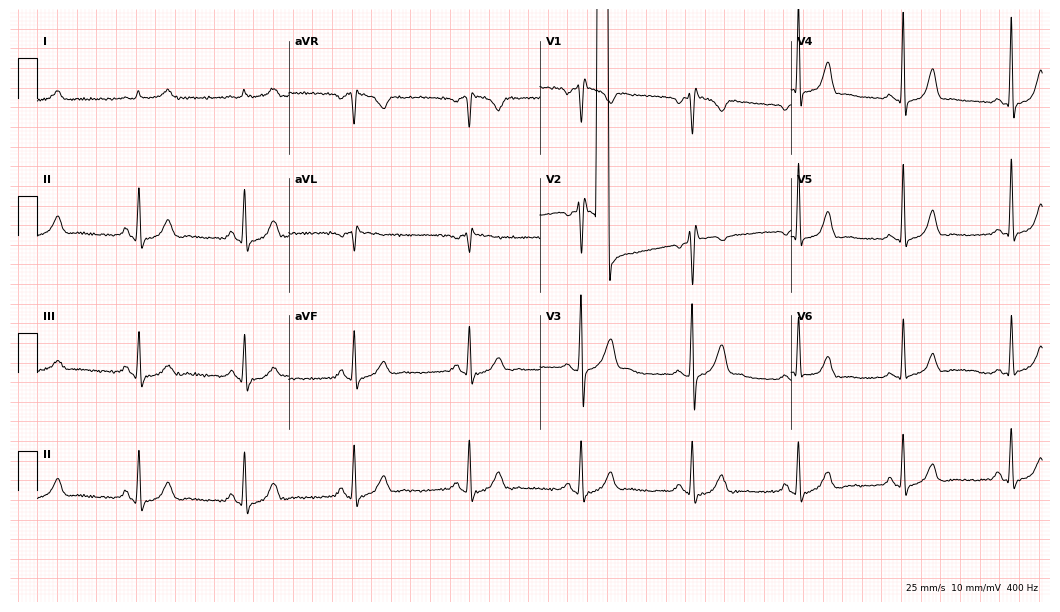
Standard 12-lead ECG recorded from a 45-year-old male. The tracing shows right bundle branch block.